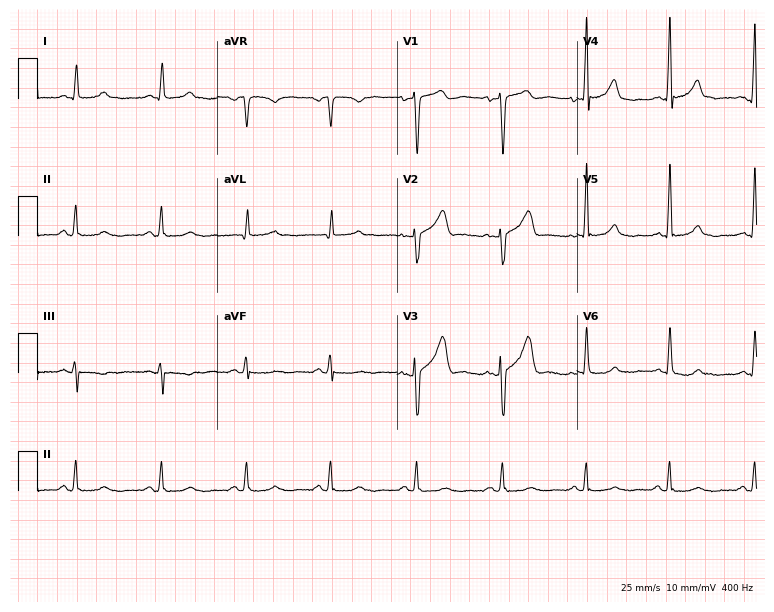
Resting 12-lead electrocardiogram. Patient: a 54-year-old male. Read as a normal ECG.